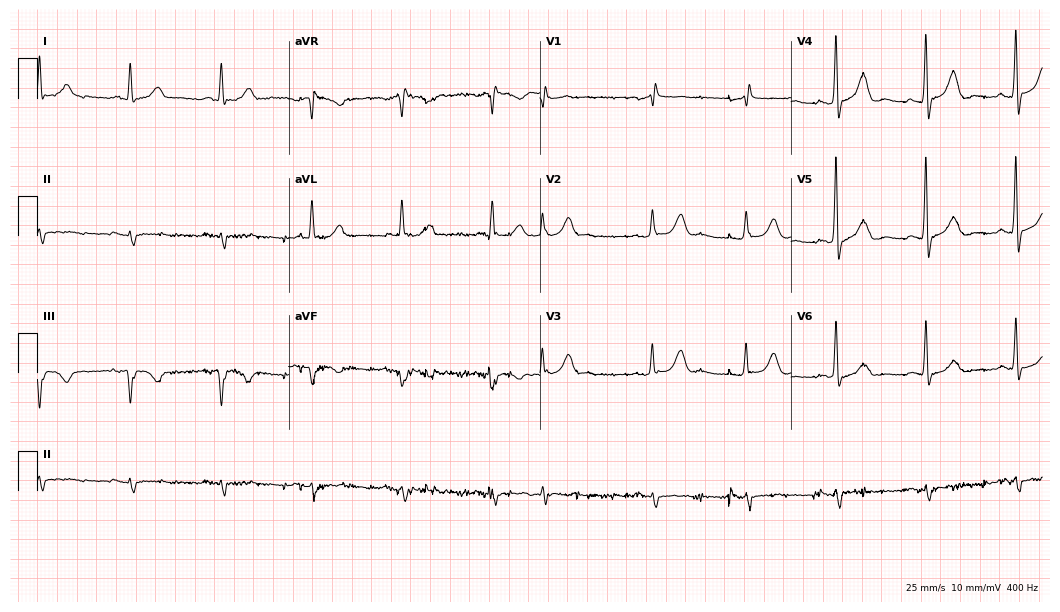
Resting 12-lead electrocardiogram. Patient: a female, 71 years old. None of these six findings is recorded: first-degree AV block, right bundle branch block, left bundle branch block, sinus bradycardia, atrial fibrillation, sinus tachycardia.